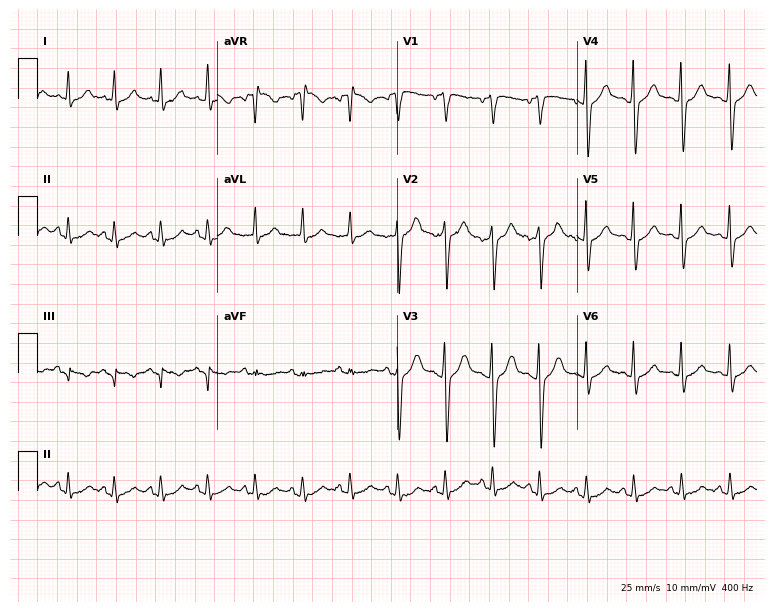
Electrocardiogram (7.3-second recording at 400 Hz), a male patient, 28 years old. Interpretation includes sinus tachycardia (a sinus rate of 100 beats per minute or more).